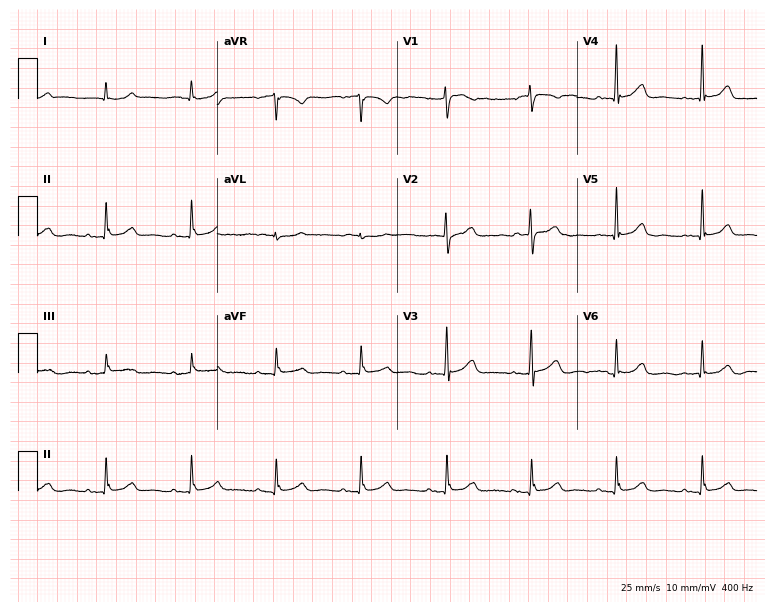
ECG — a male patient, 77 years old. Screened for six findings — first-degree AV block, right bundle branch block (RBBB), left bundle branch block (LBBB), sinus bradycardia, atrial fibrillation (AF), sinus tachycardia — none is recorded. Findings outside these six are not listed.